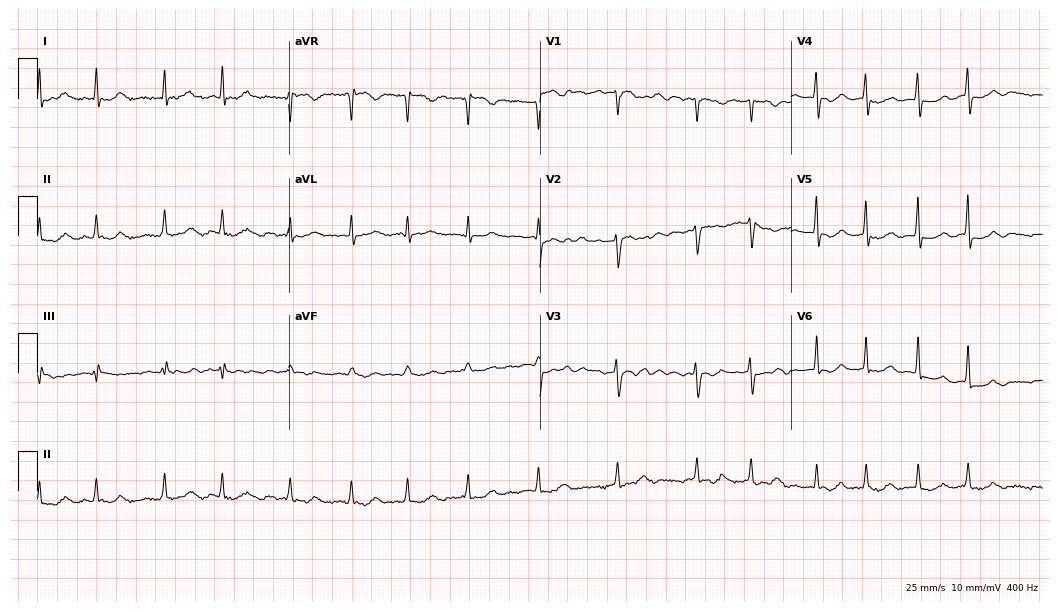
ECG (10.2-second recording at 400 Hz) — a female patient, 74 years old. Screened for six findings — first-degree AV block, right bundle branch block (RBBB), left bundle branch block (LBBB), sinus bradycardia, atrial fibrillation (AF), sinus tachycardia — none is recorded.